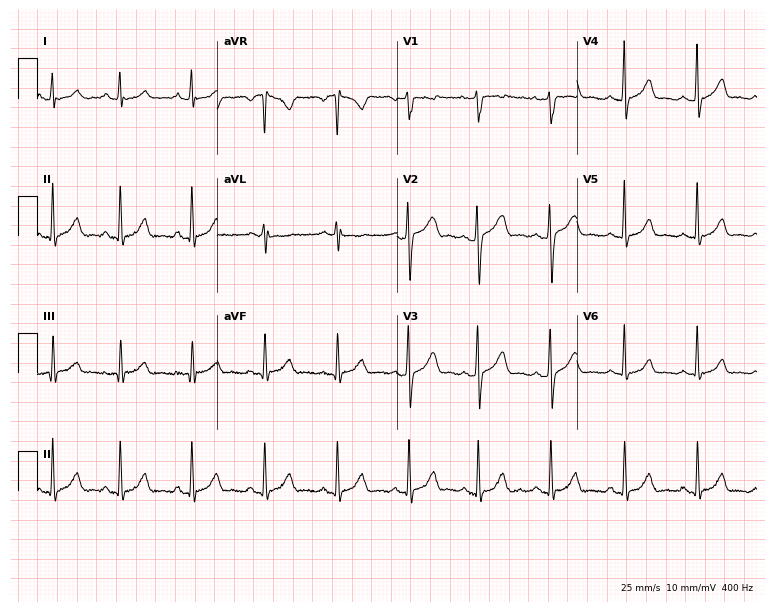
ECG — a 21-year-old woman. Labelled as a normal ECG.